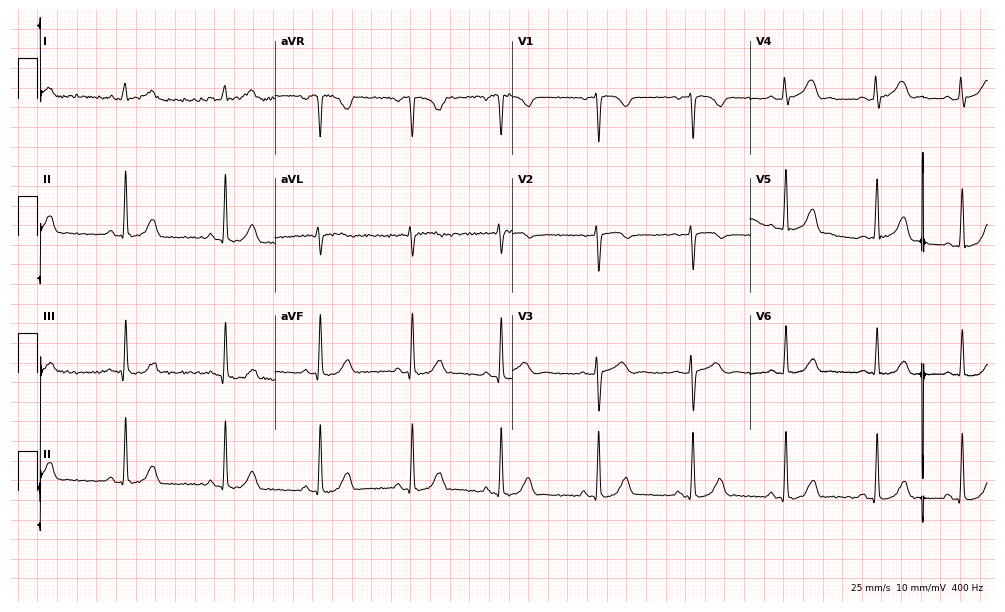
Resting 12-lead electrocardiogram (9.7-second recording at 400 Hz). Patient: a 29-year-old female. Read as a normal ECG.